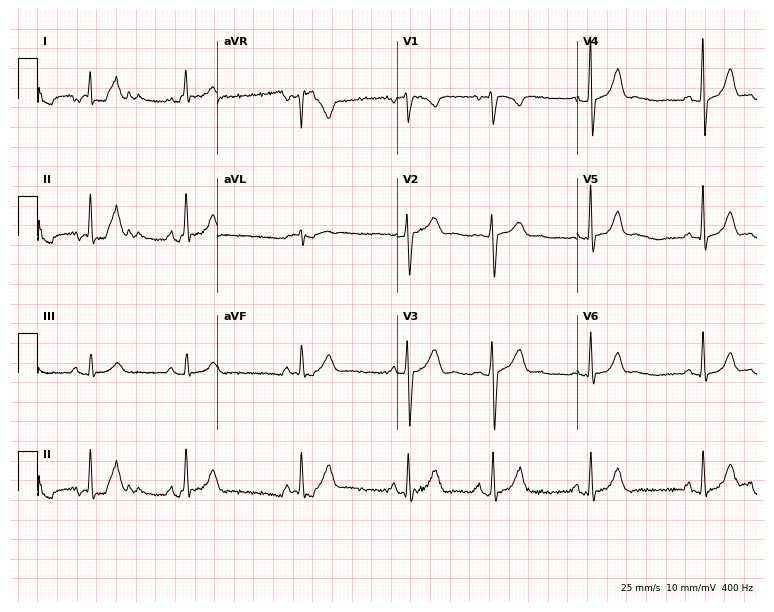
Electrocardiogram (7.3-second recording at 400 Hz), a 28-year-old male patient. Overall reading on record: normal ECG.